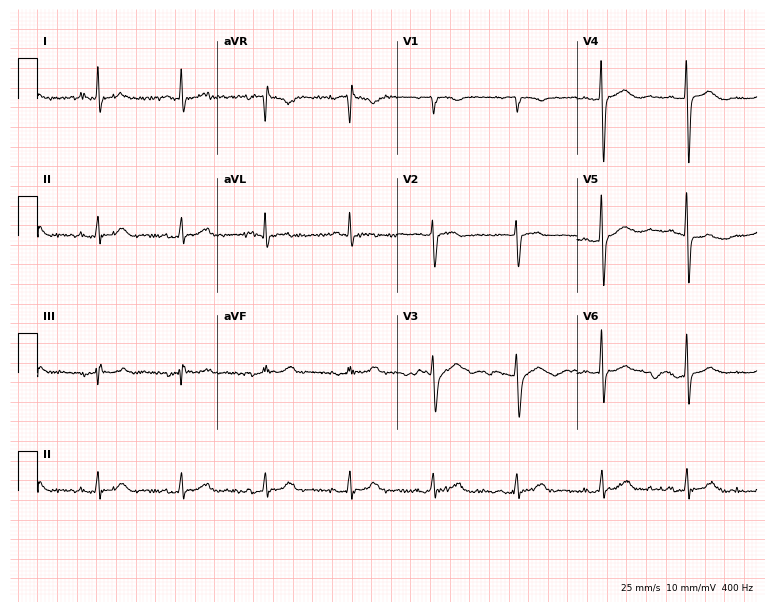
12-lead ECG from a female, 71 years old. Screened for six findings — first-degree AV block, right bundle branch block, left bundle branch block, sinus bradycardia, atrial fibrillation, sinus tachycardia — none is recorded. Findings outside these six are not listed.